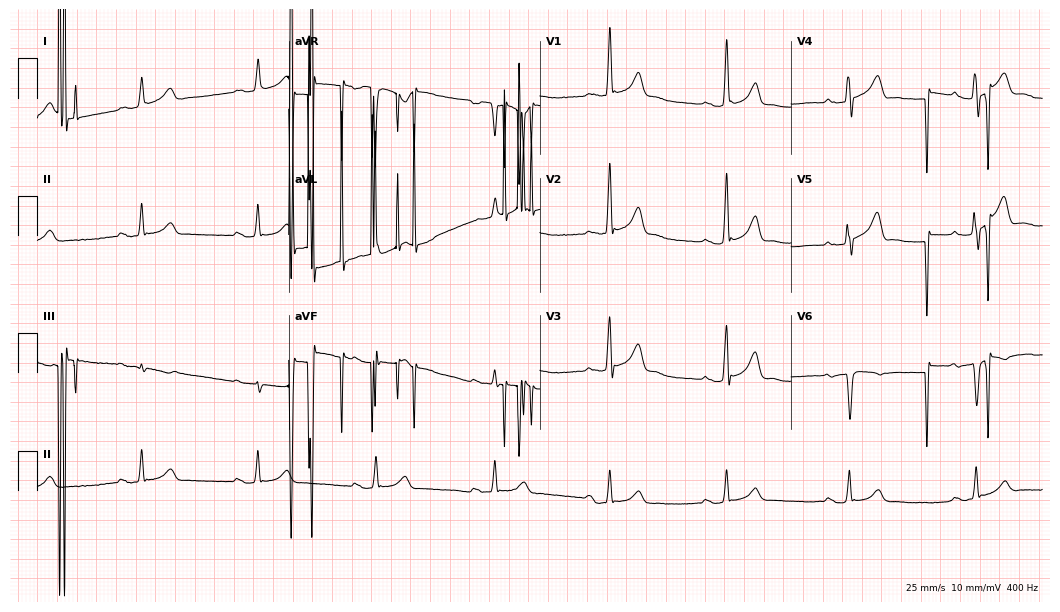
Electrocardiogram, a woman, 28 years old. Of the six screened findings (first-degree AV block, right bundle branch block (RBBB), left bundle branch block (LBBB), sinus bradycardia, atrial fibrillation (AF), sinus tachycardia), none is recorded. Other findings, if any, are not listed.